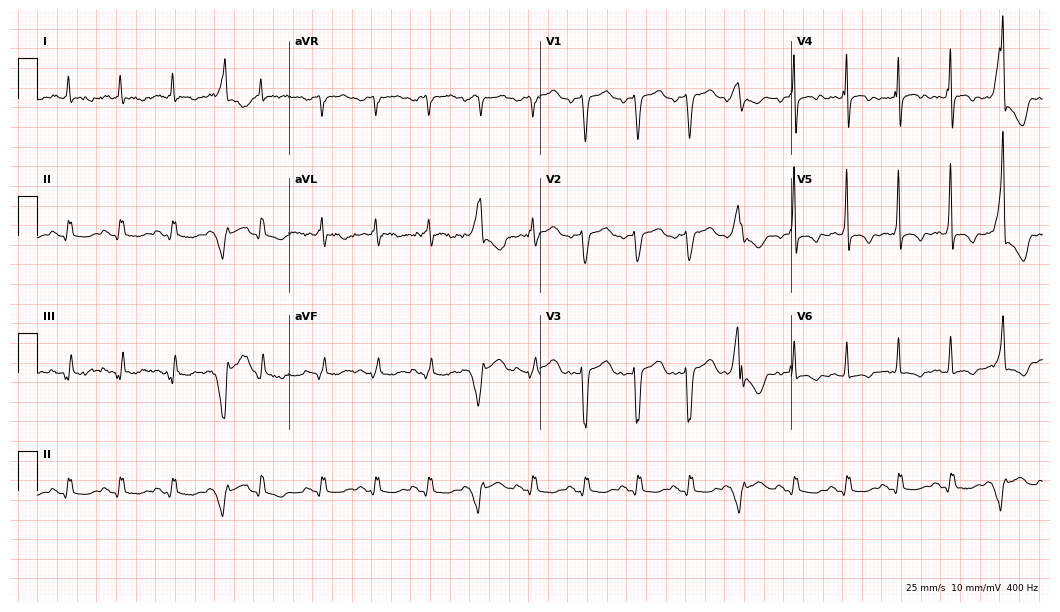
Electrocardiogram, a 66-year-old male. Interpretation includes sinus tachycardia (a sinus rate of 100 beats per minute or more).